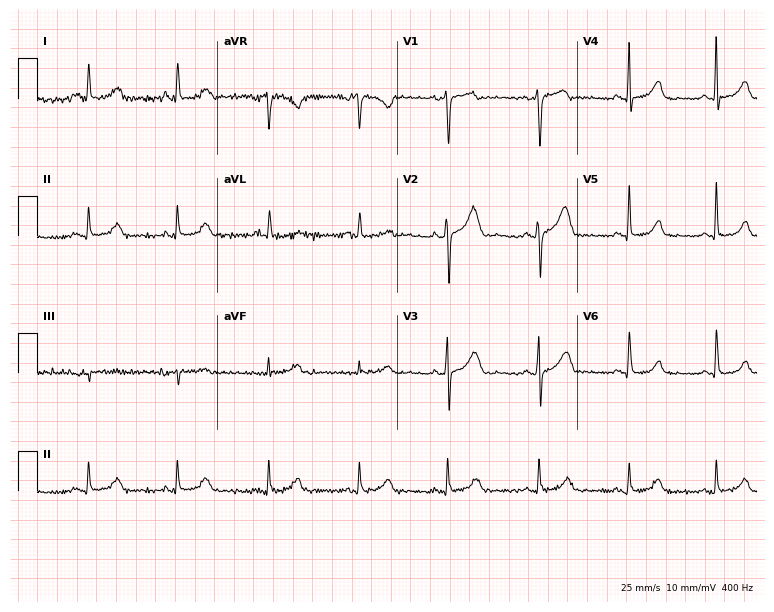
Standard 12-lead ECG recorded from a woman, 67 years old (7.3-second recording at 400 Hz). None of these six findings is recorded: first-degree AV block, right bundle branch block, left bundle branch block, sinus bradycardia, atrial fibrillation, sinus tachycardia. Other findings, if any, are not listed.